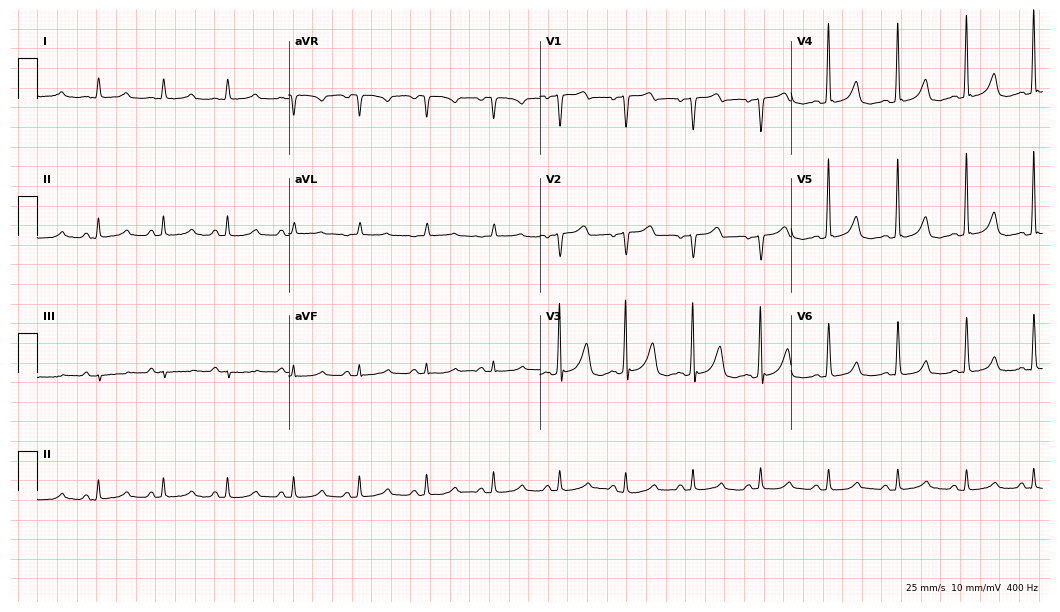
Standard 12-lead ECG recorded from a female patient, 69 years old (10.2-second recording at 400 Hz). None of these six findings is recorded: first-degree AV block, right bundle branch block, left bundle branch block, sinus bradycardia, atrial fibrillation, sinus tachycardia. Only these six findings were labelled.